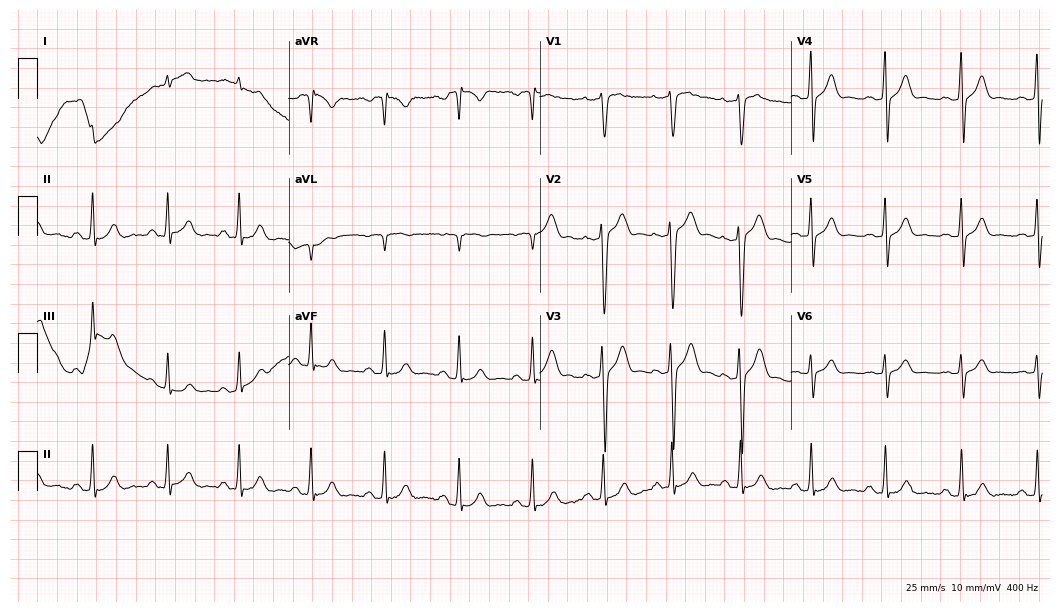
12-lead ECG from a 35-year-old man (10.2-second recording at 400 Hz). No first-degree AV block, right bundle branch block, left bundle branch block, sinus bradycardia, atrial fibrillation or sinus tachycardia recorded for this tracing.